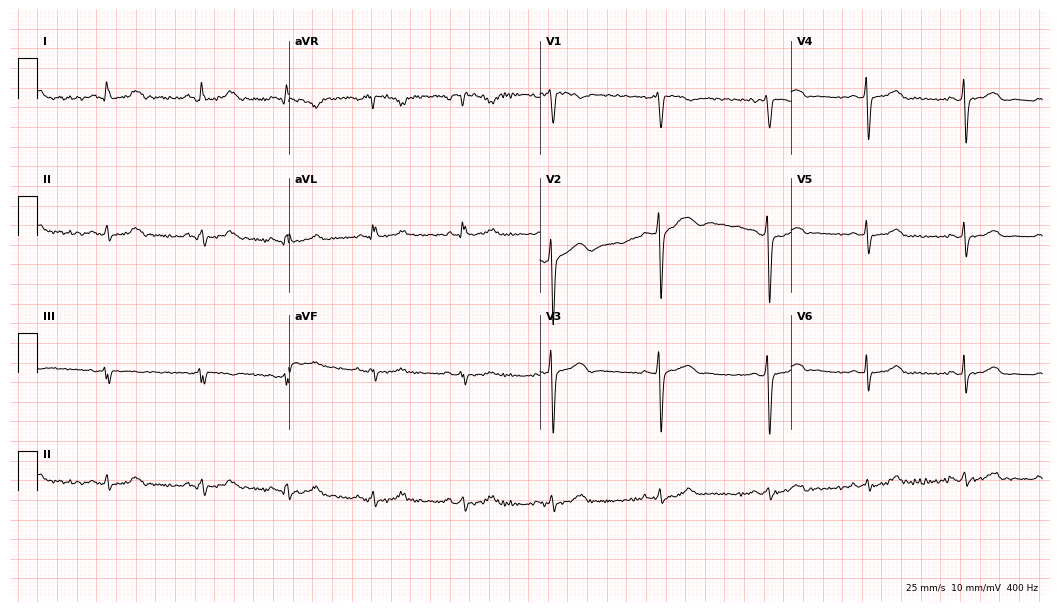
Standard 12-lead ECG recorded from a female, 33 years old. None of these six findings is recorded: first-degree AV block, right bundle branch block (RBBB), left bundle branch block (LBBB), sinus bradycardia, atrial fibrillation (AF), sinus tachycardia. Findings outside these six are not listed.